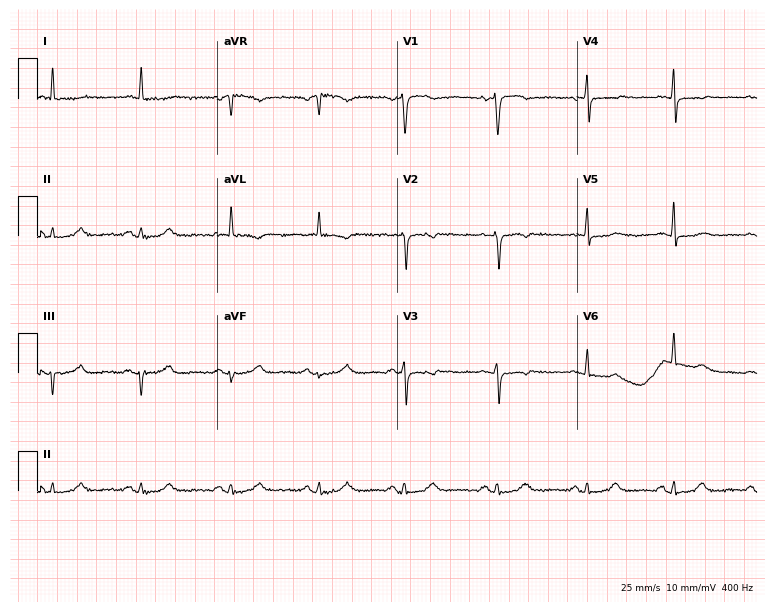
Resting 12-lead electrocardiogram (7.3-second recording at 400 Hz). Patient: a 68-year-old female. None of these six findings is recorded: first-degree AV block, right bundle branch block (RBBB), left bundle branch block (LBBB), sinus bradycardia, atrial fibrillation (AF), sinus tachycardia. Only these six findings were labelled.